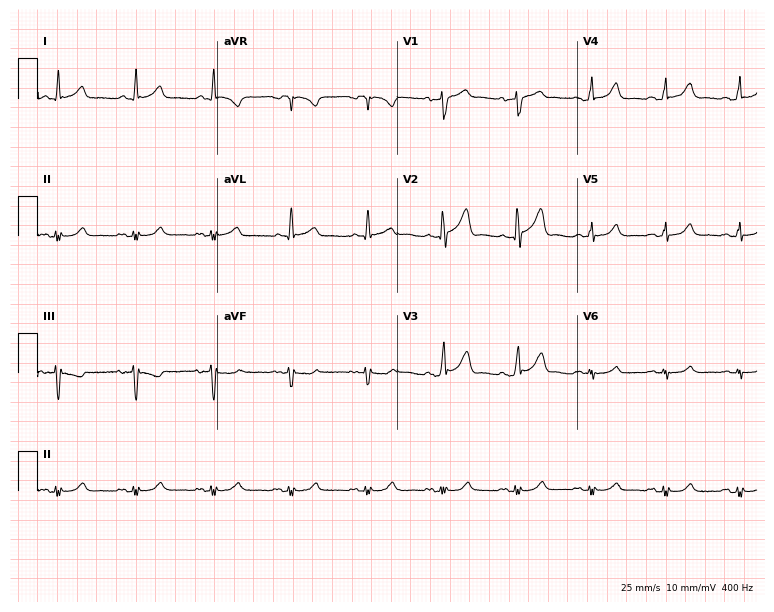
Standard 12-lead ECG recorded from a 64-year-old man (7.3-second recording at 400 Hz). Read as a normal ECG.